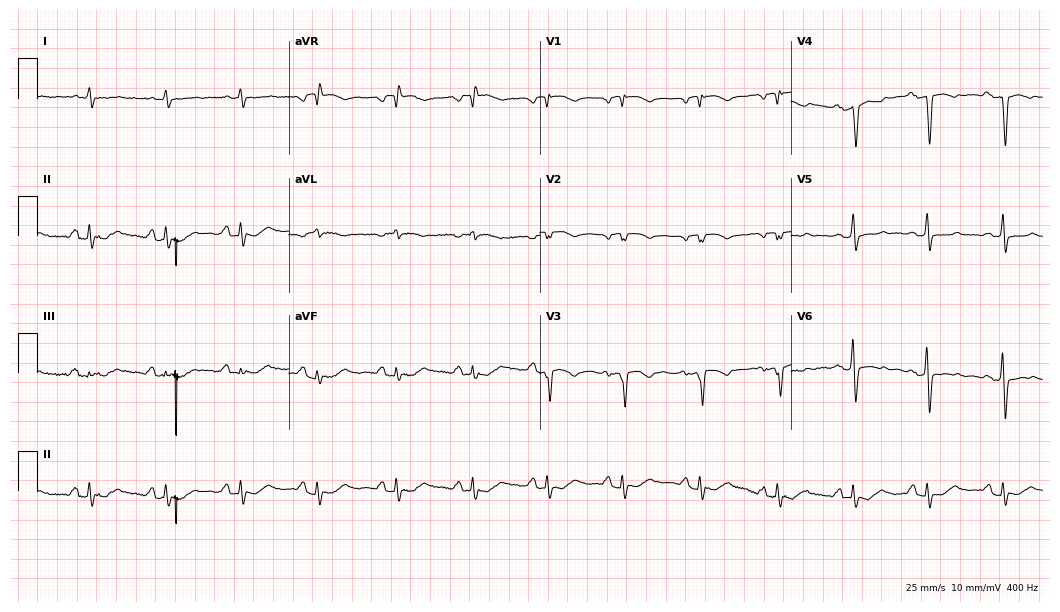
12-lead ECG (10.2-second recording at 400 Hz) from a man, 66 years old. Screened for six findings — first-degree AV block, right bundle branch block, left bundle branch block, sinus bradycardia, atrial fibrillation, sinus tachycardia — none is recorded.